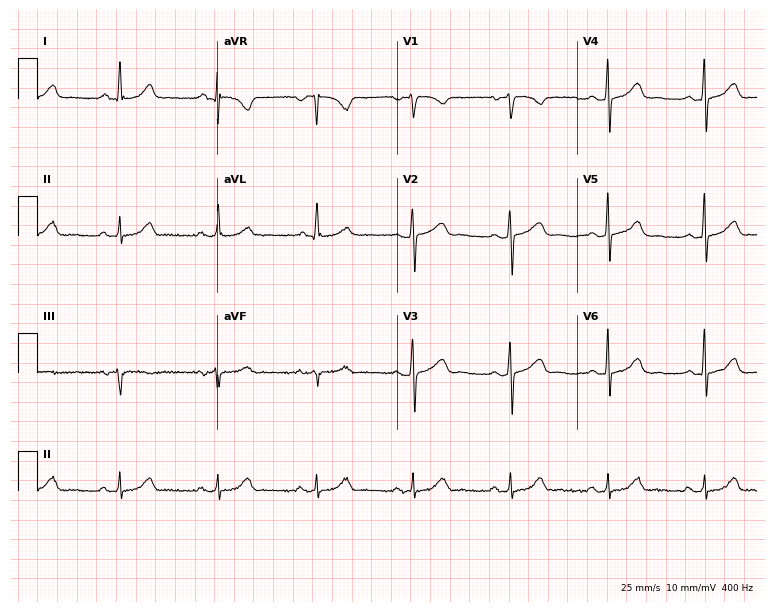
12-lead ECG from a 53-year-old female patient. Screened for six findings — first-degree AV block, right bundle branch block, left bundle branch block, sinus bradycardia, atrial fibrillation, sinus tachycardia — none is recorded.